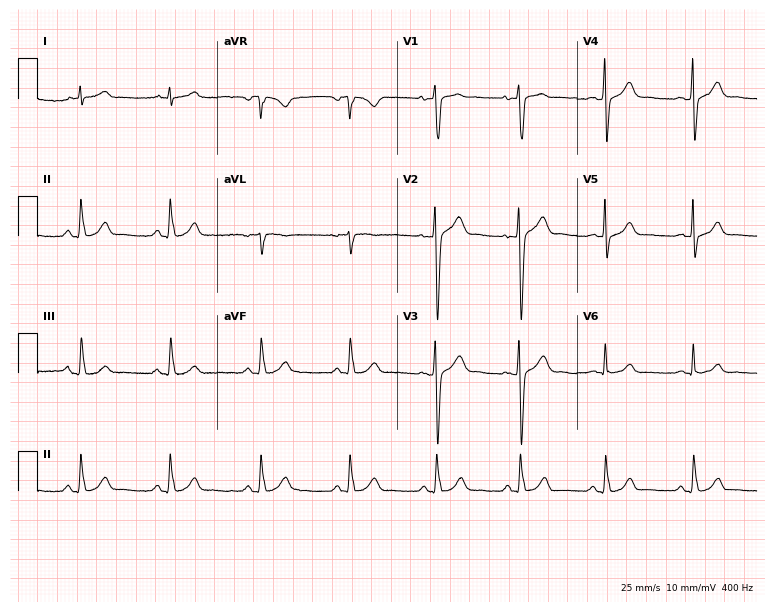
Electrocardiogram, a man, 44 years old. Of the six screened findings (first-degree AV block, right bundle branch block, left bundle branch block, sinus bradycardia, atrial fibrillation, sinus tachycardia), none is recorded.